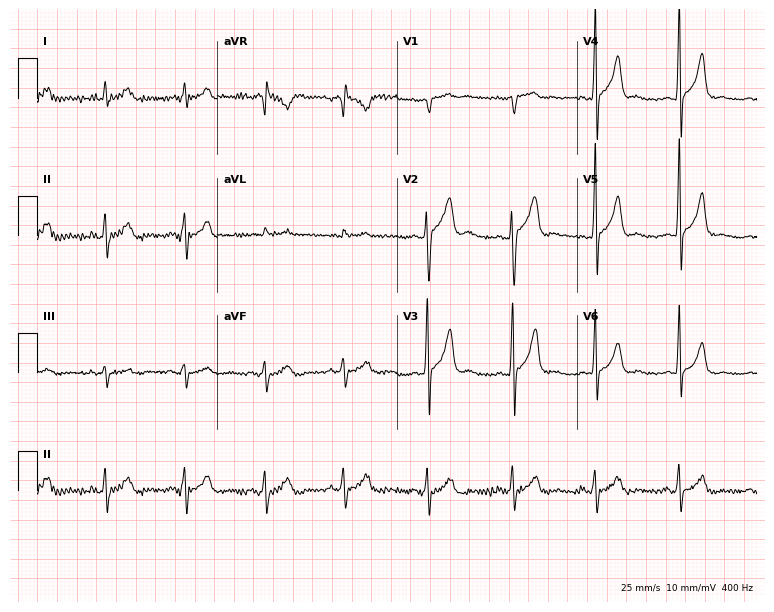
Resting 12-lead electrocardiogram (7.3-second recording at 400 Hz). Patient: a 31-year-old male. Read as a normal ECG.